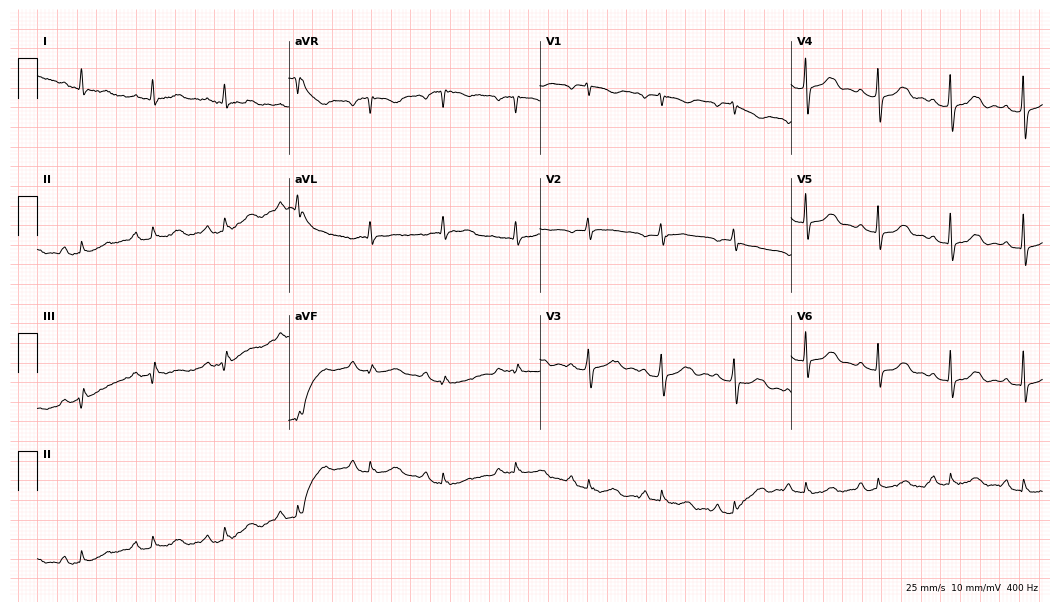
Resting 12-lead electrocardiogram. Patient: a female, 80 years old. None of these six findings is recorded: first-degree AV block, right bundle branch block, left bundle branch block, sinus bradycardia, atrial fibrillation, sinus tachycardia.